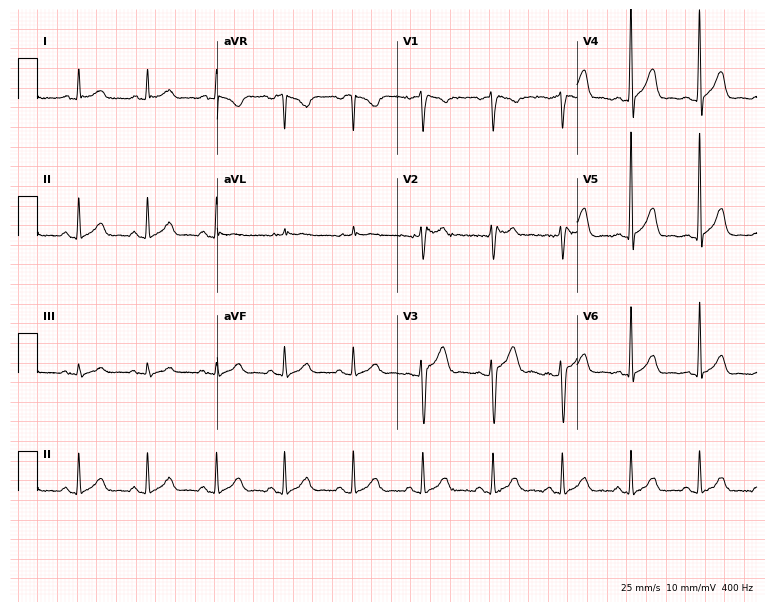
12-lead ECG from a male patient, 51 years old. Recorded interpretation: within normal limits.